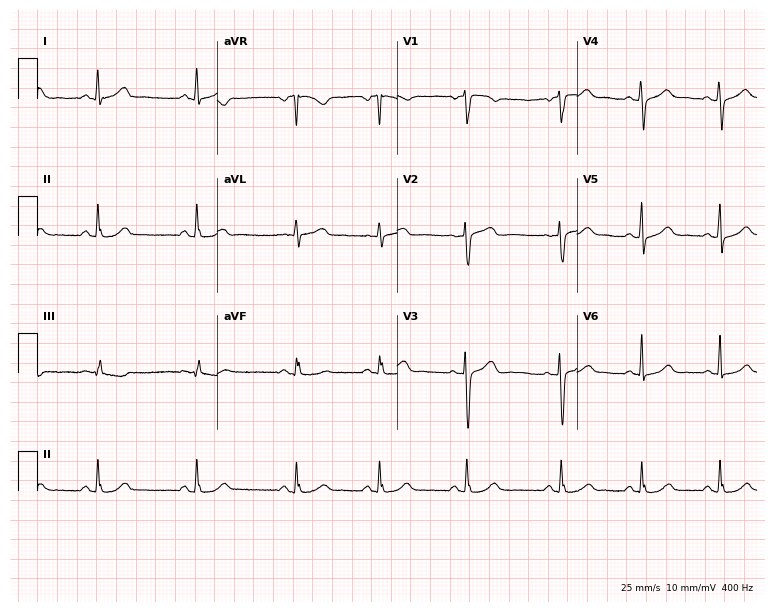
12-lead ECG (7.3-second recording at 400 Hz) from a woman, 31 years old. Labelled as a normal ECG.